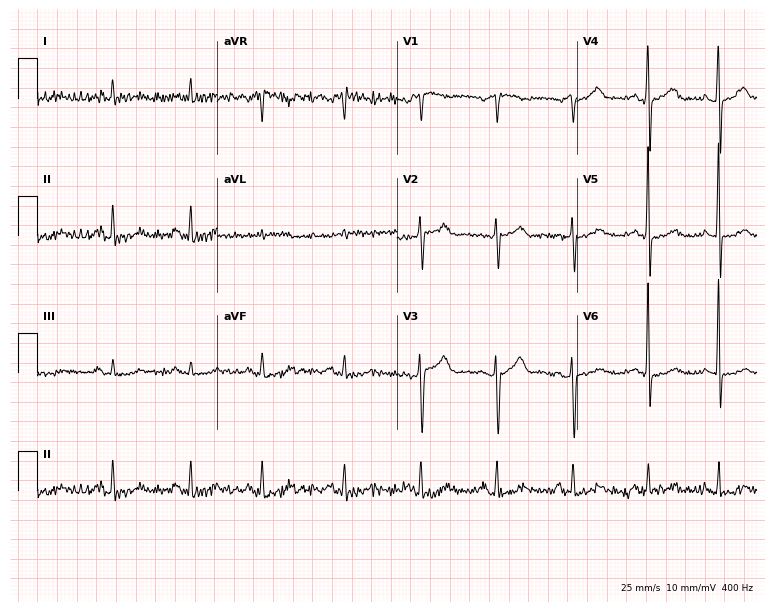
12-lead ECG from a male patient, 75 years old (7.3-second recording at 400 Hz). No first-degree AV block, right bundle branch block, left bundle branch block, sinus bradycardia, atrial fibrillation or sinus tachycardia recorded for this tracing.